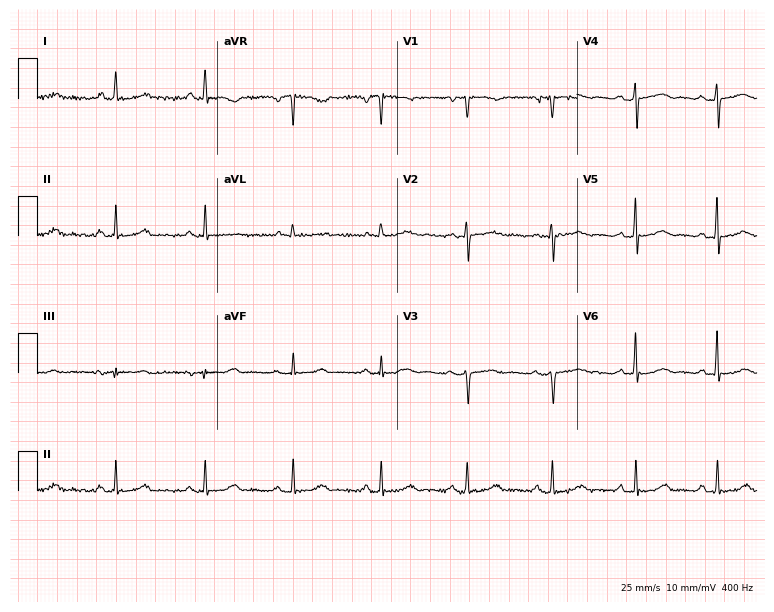
Electrocardiogram (7.3-second recording at 400 Hz), a woman, 59 years old. Of the six screened findings (first-degree AV block, right bundle branch block, left bundle branch block, sinus bradycardia, atrial fibrillation, sinus tachycardia), none is recorded. Other findings, if any, are not listed.